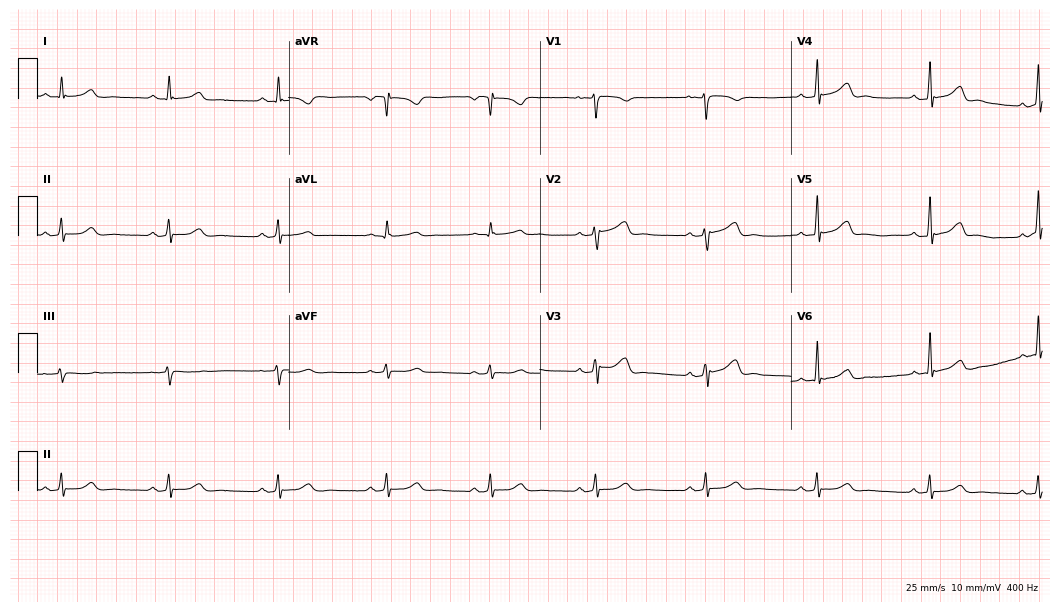
Resting 12-lead electrocardiogram (10.2-second recording at 400 Hz). Patient: a 31-year-old female. Read as a normal ECG.